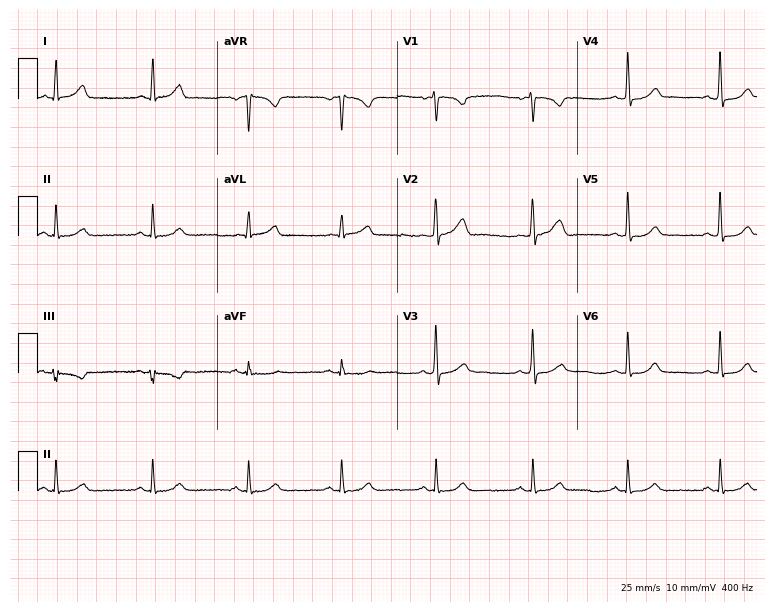
Resting 12-lead electrocardiogram. Patient: a female, 51 years old. Read as a normal ECG.